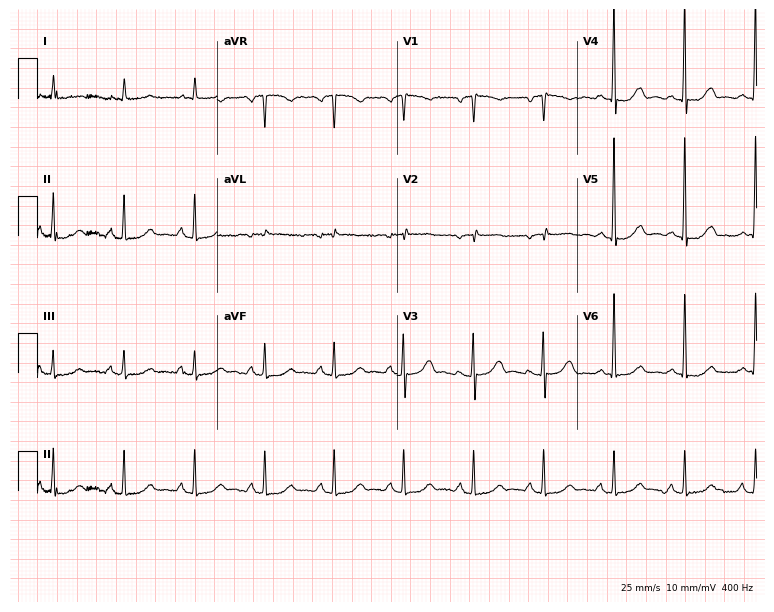
Standard 12-lead ECG recorded from an 84-year-old woman (7.3-second recording at 400 Hz). Read as a normal ECG.